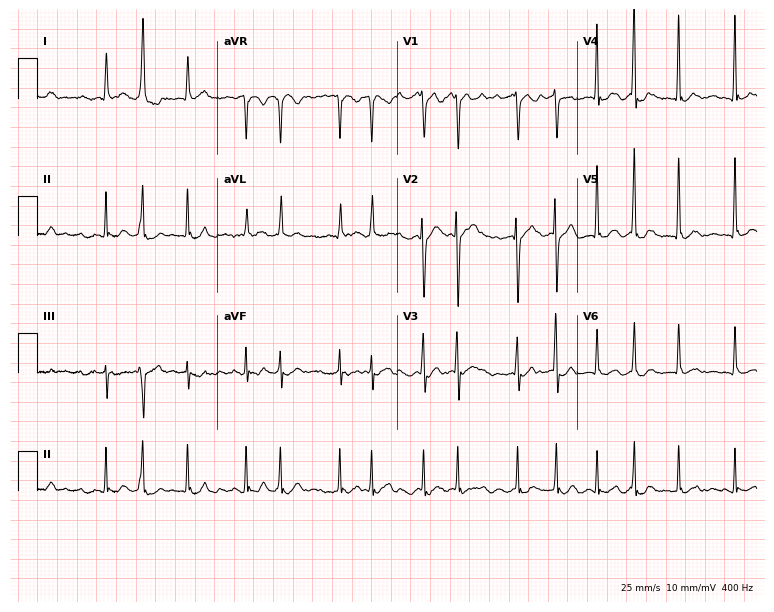
Resting 12-lead electrocardiogram (7.3-second recording at 400 Hz). Patient: a female, 60 years old. The tracing shows atrial fibrillation.